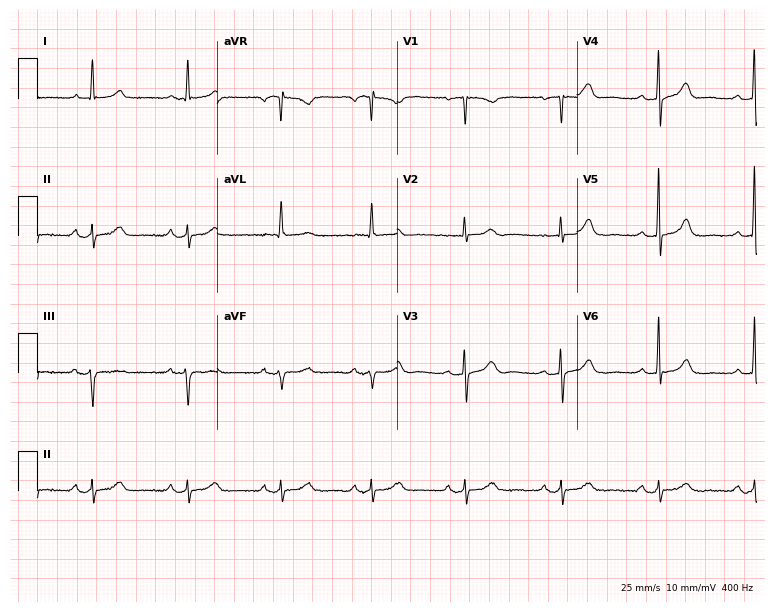
Resting 12-lead electrocardiogram (7.3-second recording at 400 Hz). Patient: a female, 77 years old. None of these six findings is recorded: first-degree AV block, right bundle branch block, left bundle branch block, sinus bradycardia, atrial fibrillation, sinus tachycardia.